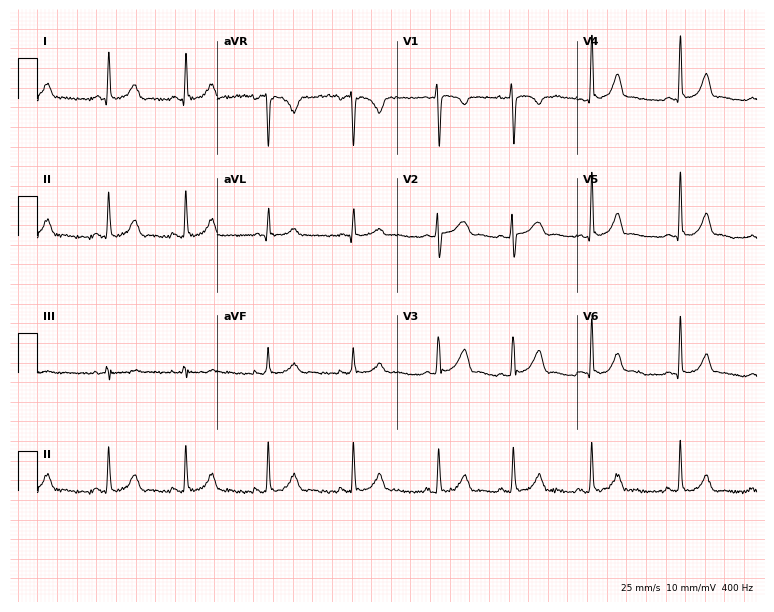
ECG — a 23-year-old female patient. Labelled as a normal ECG.